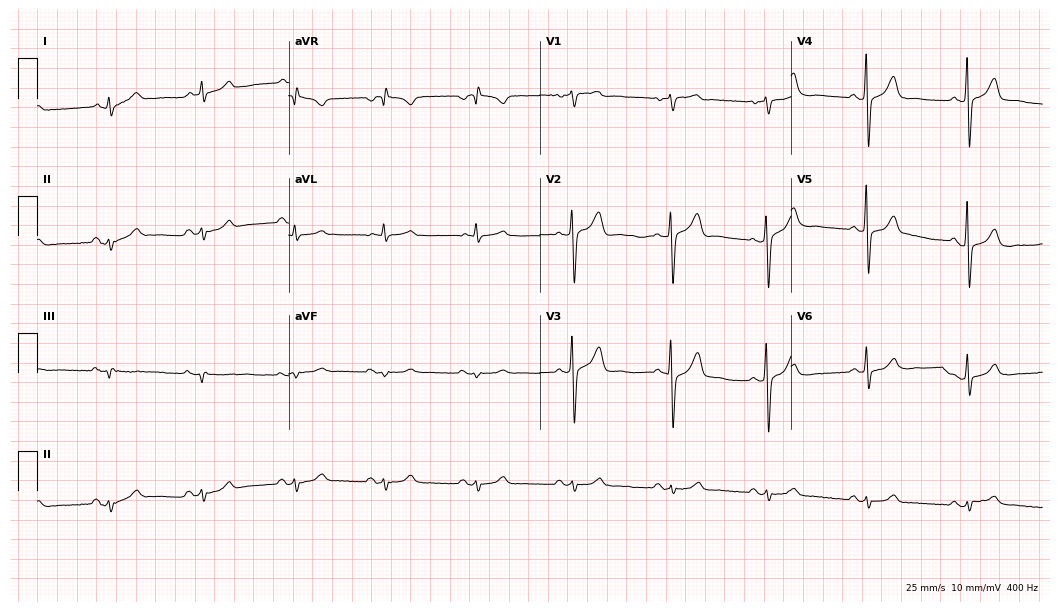
12-lead ECG from a 52-year-old male (10.2-second recording at 400 Hz). No first-degree AV block, right bundle branch block, left bundle branch block, sinus bradycardia, atrial fibrillation or sinus tachycardia recorded for this tracing. Findings outside these six are not listed.